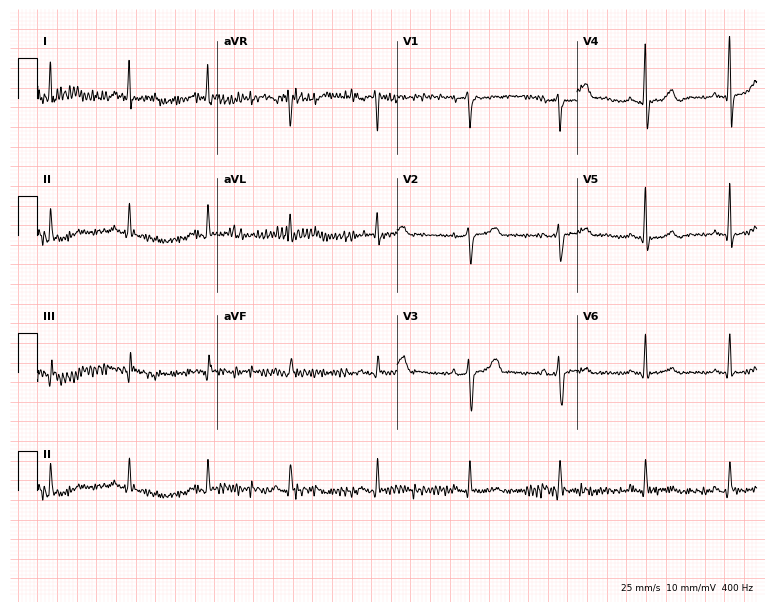
Standard 12-lead ECG recorded from a 48-year-old man. None of these six findings is recorded: first-degree AV block, right bundle branch block (RBBB), left bundle branch block (LBBB), sinus bradycardia, atrial fibrillation (AF), sinus tachycardia. Findings outside these six are not listed.